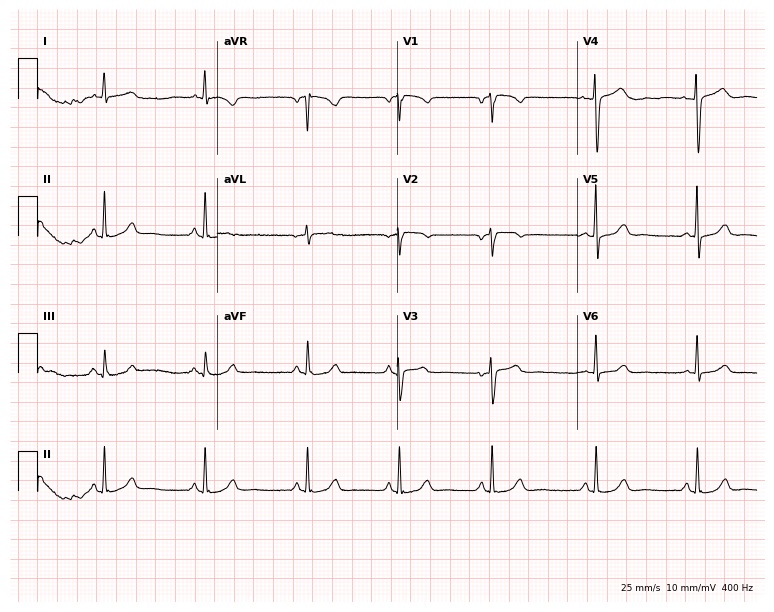
12-lead ECG from a female, 35 years old. No first-degree AV block, right bundle branch block, left bundle branch block, sinus bradycardia, atrial fibrillation or sinus tachycardia recorded for this tracing.